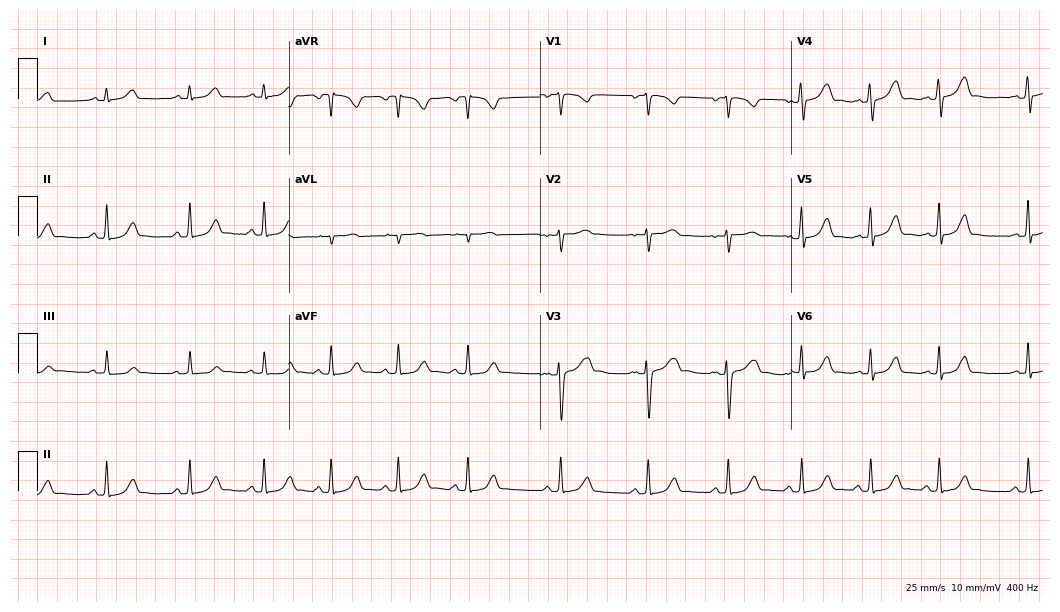
12-lead ECG (10.2-second recording at 400 Hz) from a 30-year-old woman. Labelled as a normal ECG.